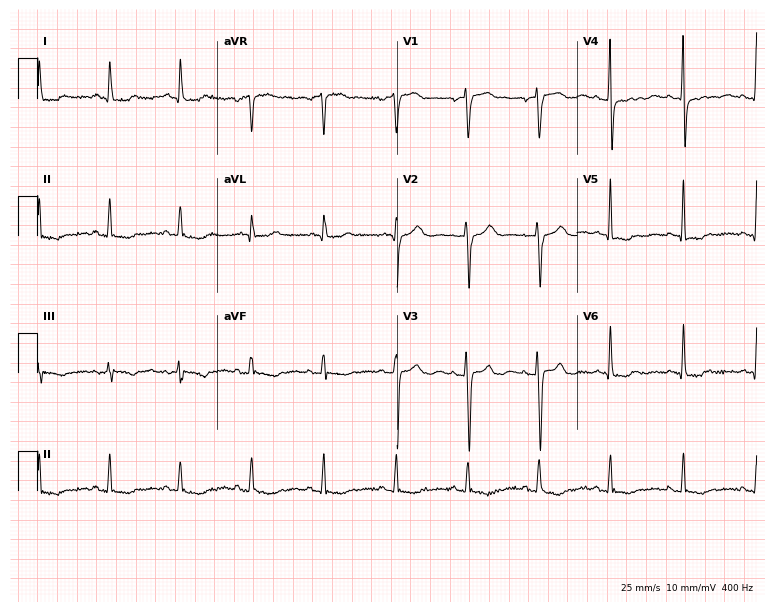
ECG — a female patient, 72 years old. Labelled as a normal ECG.